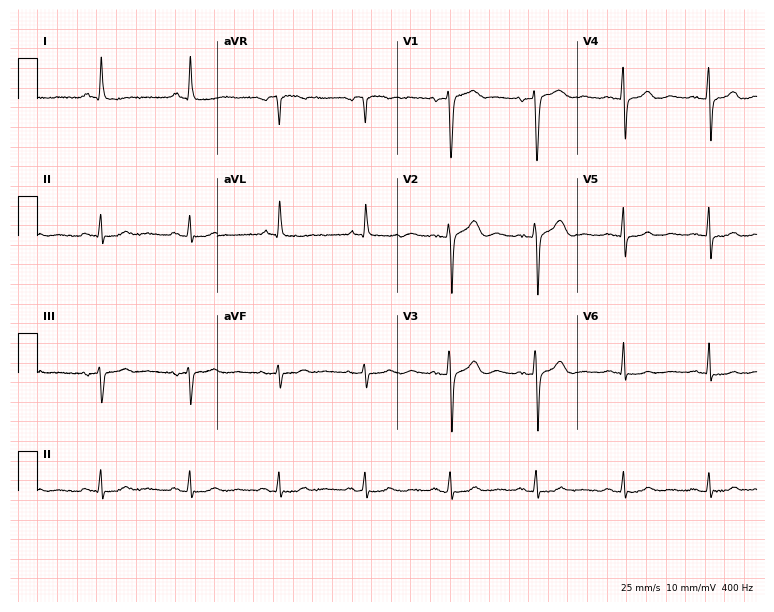
Standard 12-lead ECG recorded from a 51-year-old female (7.3-second recording at 400 Hz). None of these six findings is recorded: first-degree AV block, right bundle branch block, left bundle branch block, sinus bradycardia, atrial fibrillation, sinus tachycardia. Other findings, if any, are not listed.